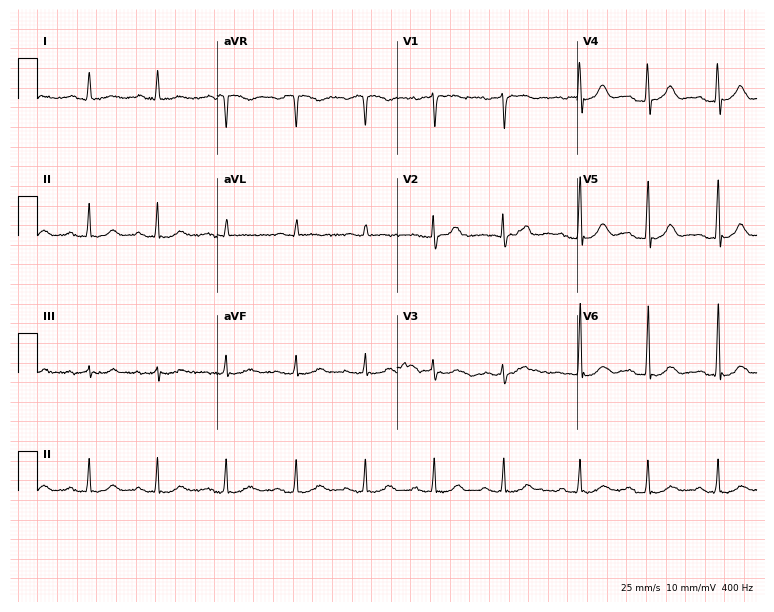
12-lead ECG from a 58-year-old woman. Recorded interpretation: within normal limits.